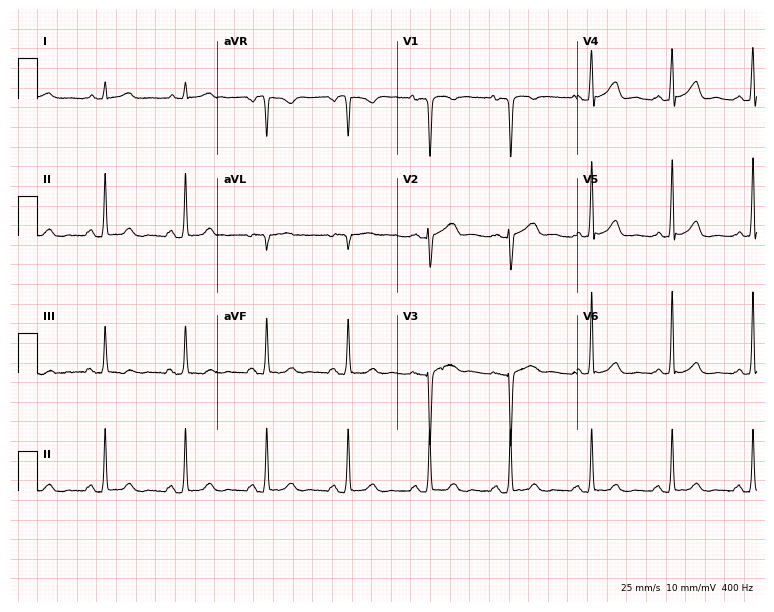
Electrocardiogram, a 55-year-old woman. Overall reading on record: normal ECG.